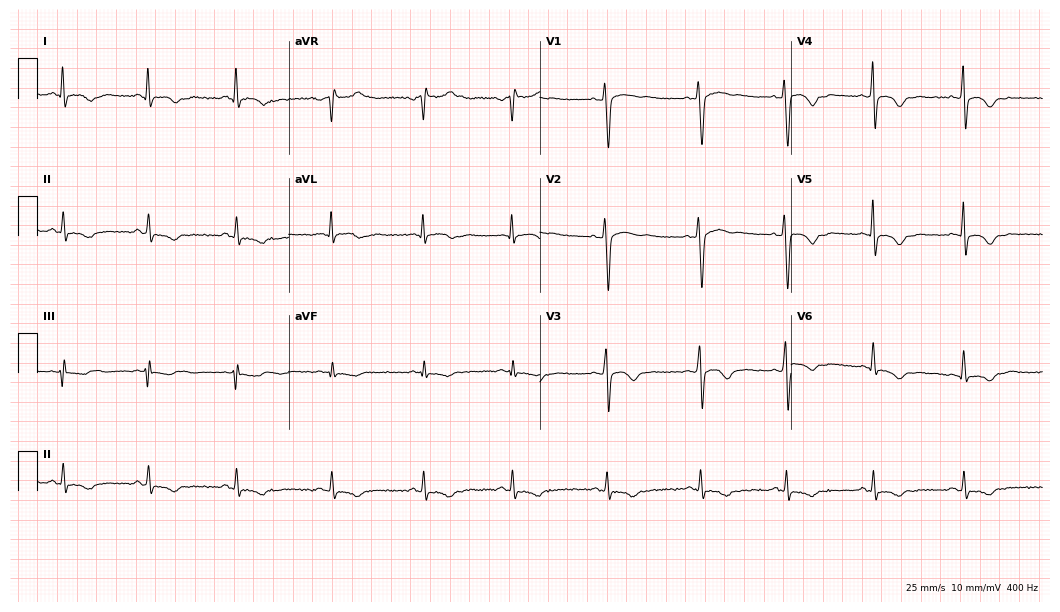
Resting 12-lead electrocardiogram. Patient: a male, 34 years old. None of these six findings is recorded: first-degree AV block, right bundle branch block, left bundle branch block, sinus bradycardia, atrial fibrillation, sinus tachycardia. Other findings, if any, are not listed.